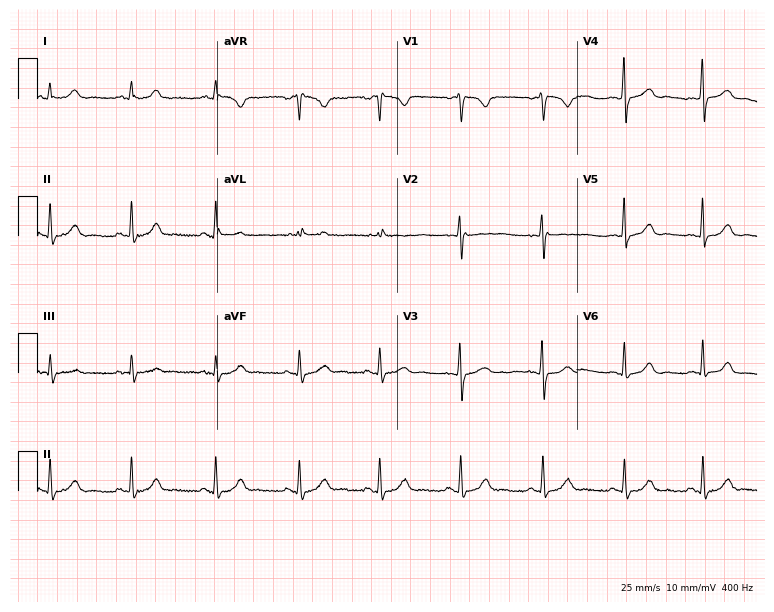
Electrocardiogram (7.3-second recording at 400 Hz), a 30-year-old woman. Overall reading on record: normal ECG.